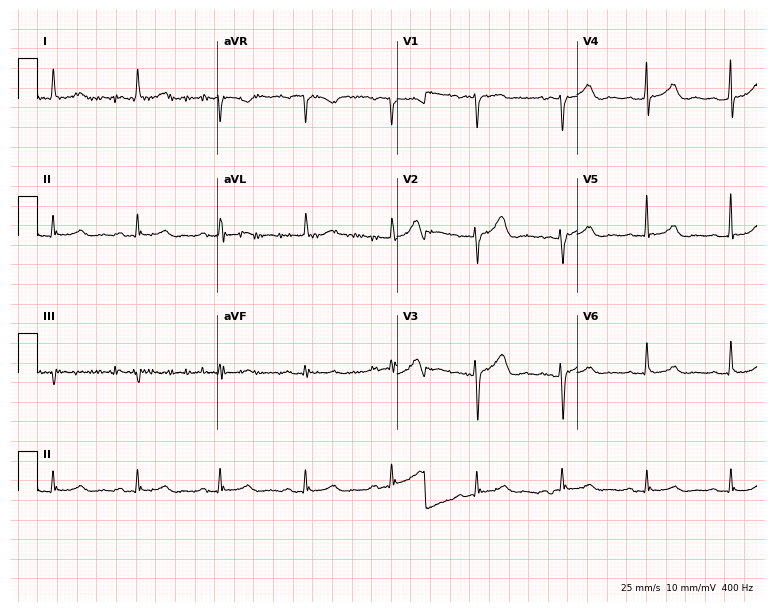
12-lead ECG from a 70-year-old male. Screened for six findings — first-degree AV block, right bundle branch block, left bundle branch block, sinus bradycardia, atrial fibrillation, sinus tachycardia — none is recorded. Findings outside these six are not listed.